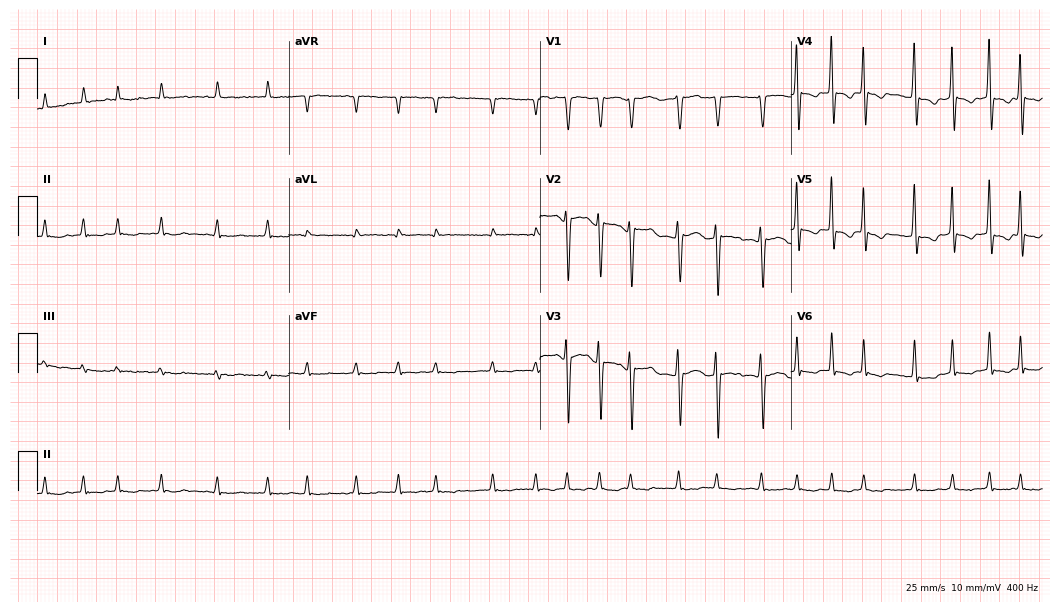
12-lead ECG (10.2-second recording at 400 Hz) from an 84-year-old female patient. Screened for six findings — first-degree AV block, right bundle branch block, left bundle branch block, sinus bradycardia, atrial fibrillation, sinus tachycardia — none is recorded.